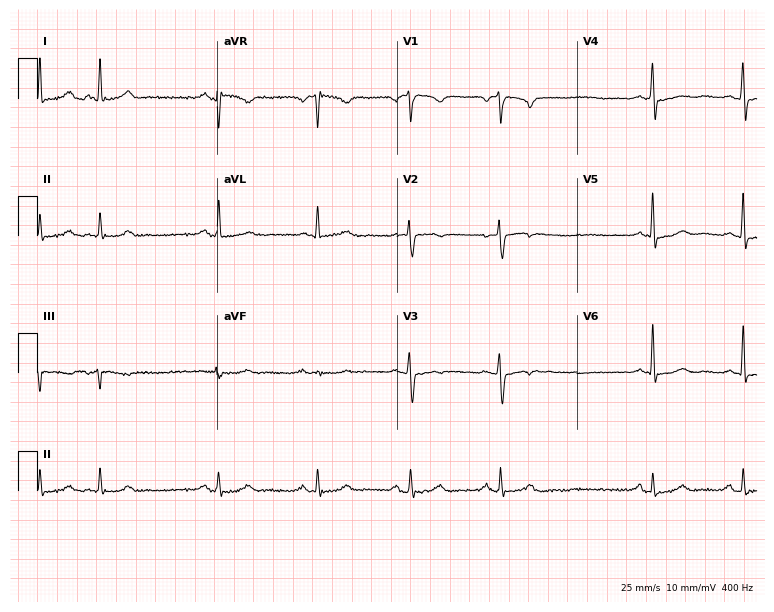
Resting 12-lead electrocardiogram. Patient: a 66-year-old female. None of these six findings is recorded: first-degree AV block, right bundle branch block (RBBB), left bundle branch block (LBBB), sinus bradycardia, atrial fibrillation (AF), sinus tachycardia.